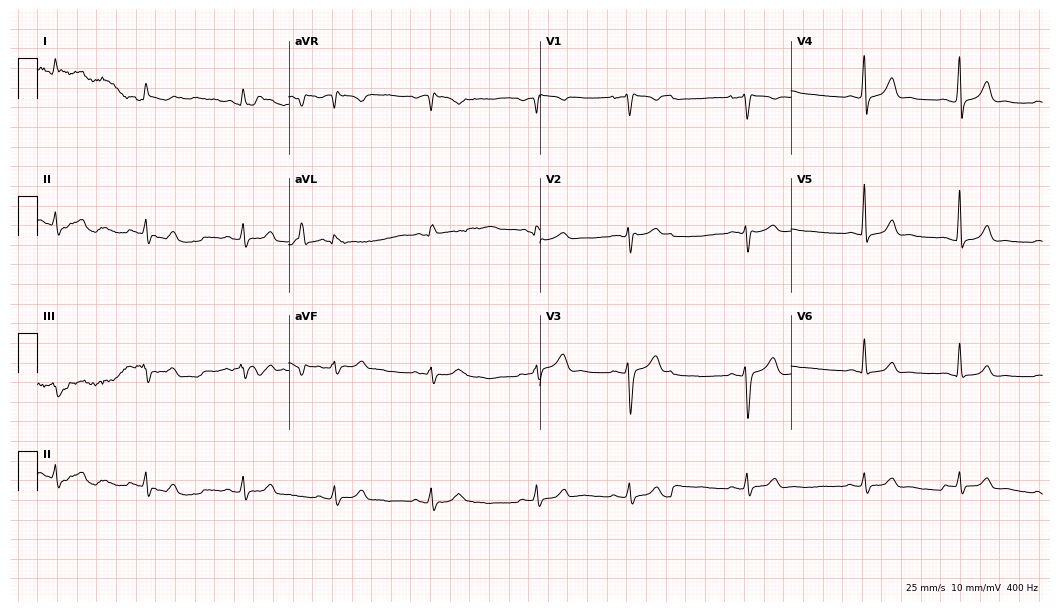
Resting 12-lead electrocardiogram. Patient: a woman, 32 years old. None of these six findings is recorded: first-degree AV block, right bundle branch block, left bundle branch block, sinus bradycardia, atrial fibrillation, sinus tachycardia.